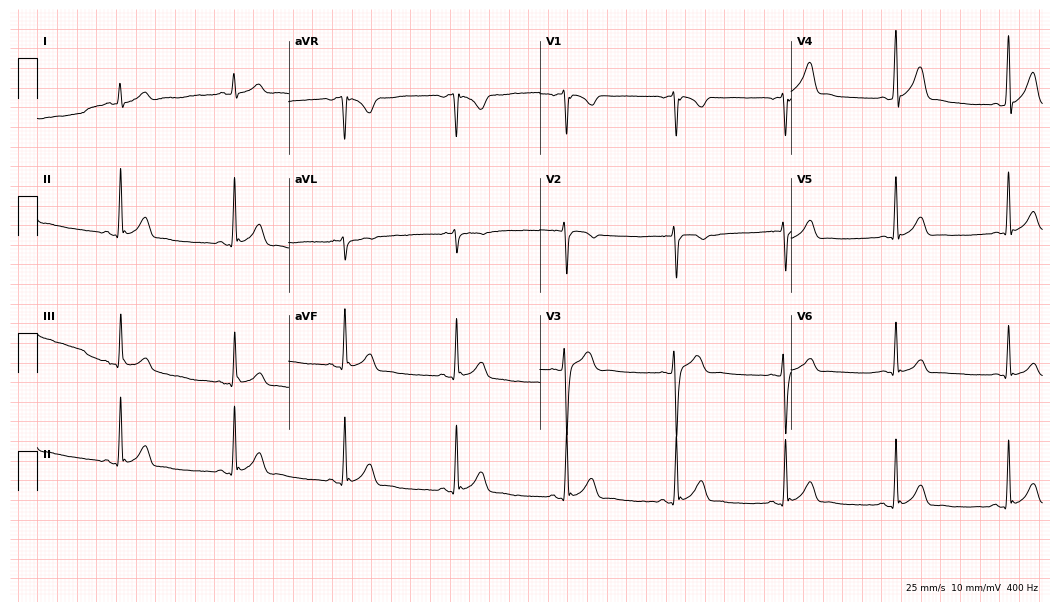
12-lead ECG from a male patient, 24 years old. No first-degree AV block, right bundle branch block, left bundle branch block, sinus bradycardia, atrial fibrillation or sinus tachycardia recorded for this tracing. Only these six findings were labelled.